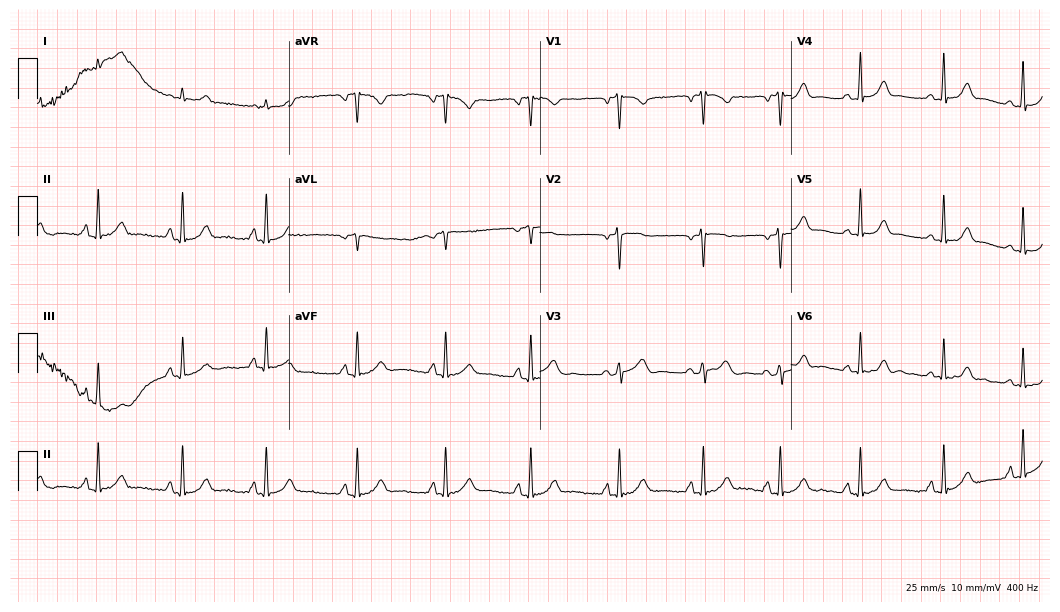
Resting 12-lead electrocardiogram (10.2-second recording at 400 Hz). Patient: a female, 21 years old. Read as a normal ECG.